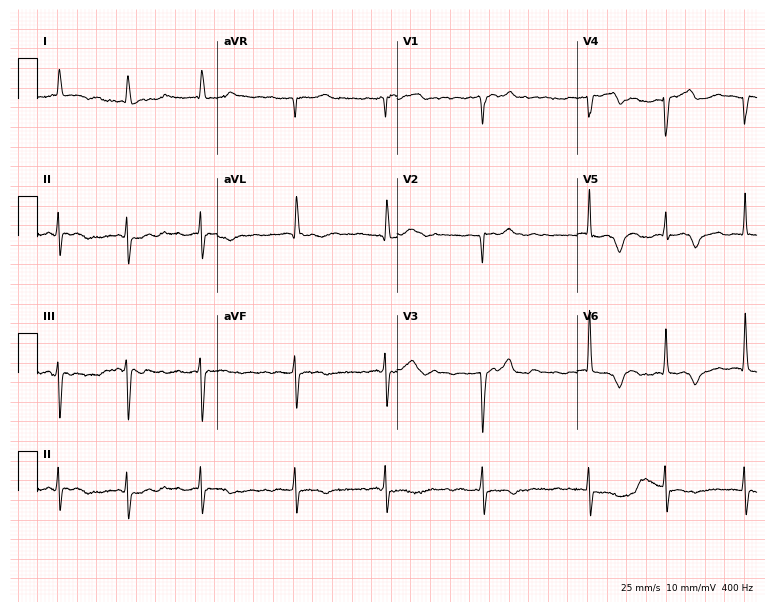
ECG (7.3-second recording at 400 Hz) — a woman, 81 years old. Findings include atrial fibrillation (AF).